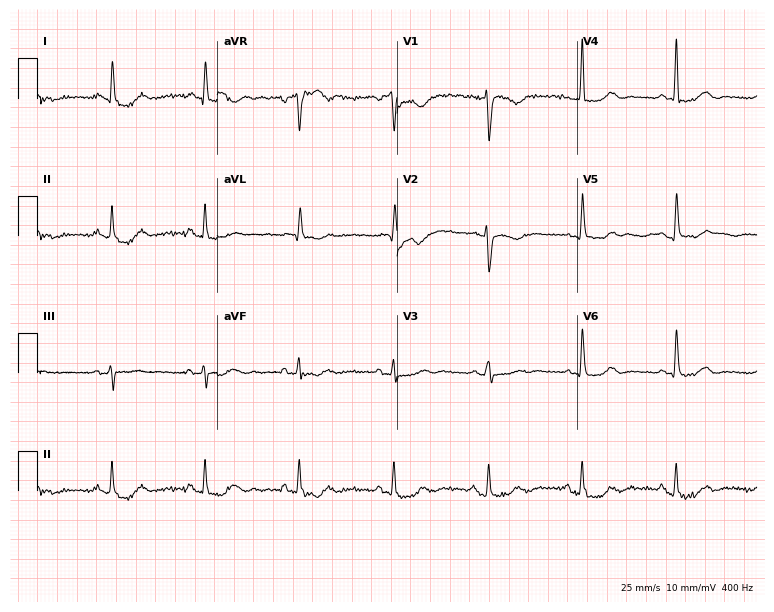
ECG (7.3-second recording at 400 Hz) — a female patient, 51 years old. Screened for six findings — first-degree AV block, right bundle branch block (RBBB), left bundle branch block (LBBB), sinus bradycardia, atrial fibrillation (AF), sinus tachycardia — none is recorded. Only these six findings were labelled.